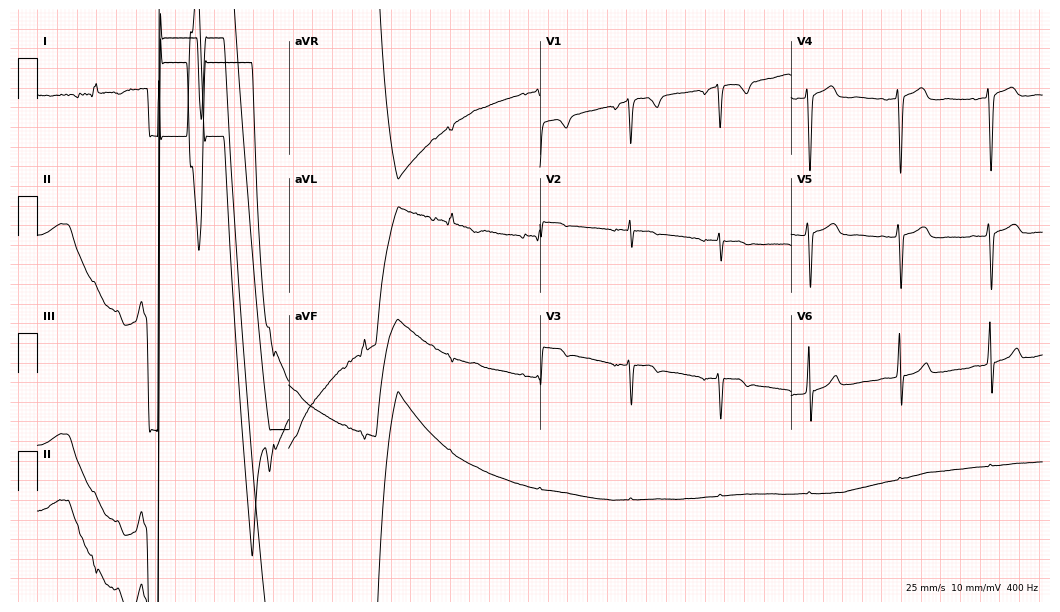
ECG — a 56-year-old female. Screened for six findings — first-degree AV block, right bundle branch block, left bundle branch block, sinus bradycardia, atrial fibrillation, sinus tachycardia — none is recorded. Only these six findings were labelled.